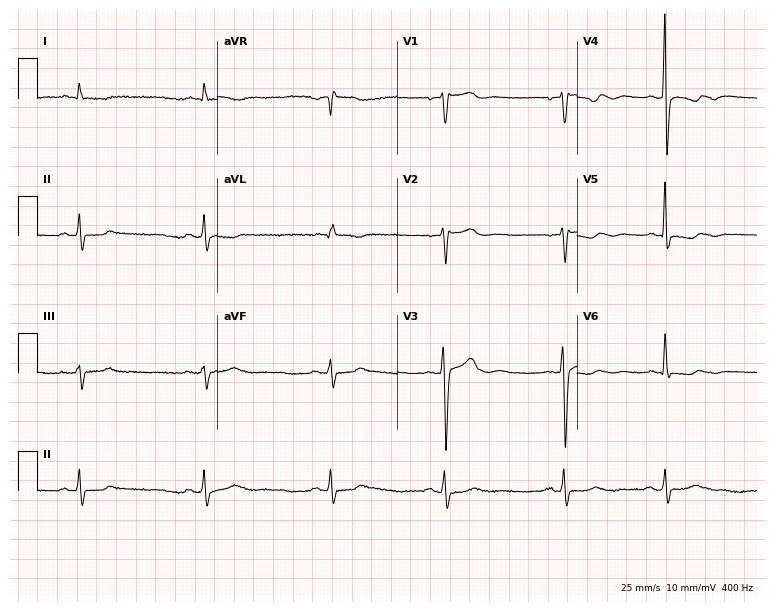
ECG (7.3-second recording at 400 Hz) — a male, 74 years old. Screened for six findings — first-degree AV block, right bundle branch block (RBBB), left bundle branch block (LBBB), sinus bradycardia, atrial fibrillation (AF), sinus tachycardia — none is recorded. Findings outside these six are not listed.